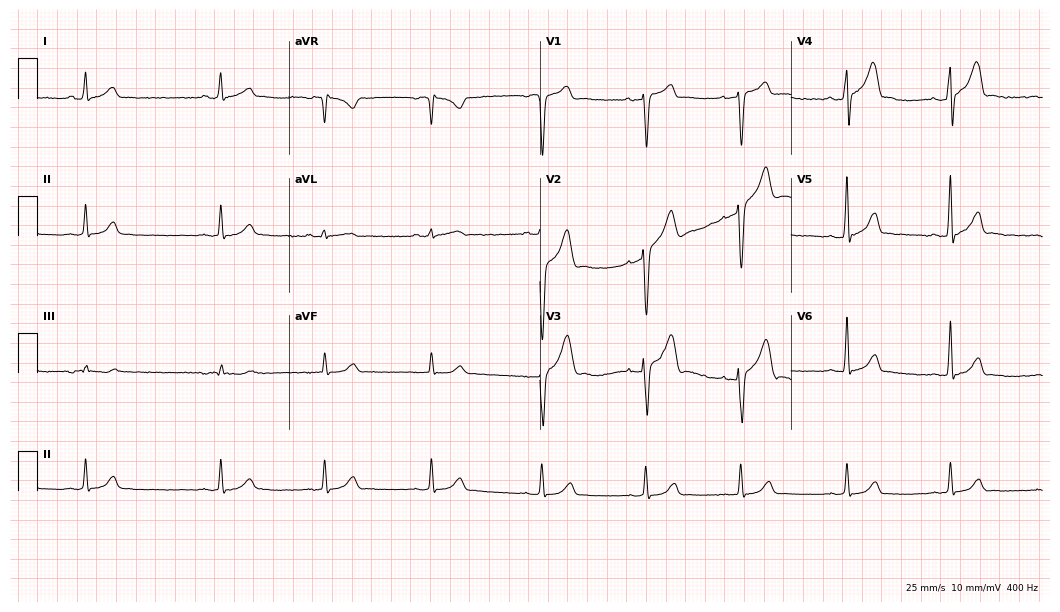
12-lead ECG from a 25-year-old male patient. Screened for six findings — first-degree AV block, right bundle branch block, left bundle branch block, sinus bradycardia, atrial fibrillation, sinus tachycardia — none is recorded.